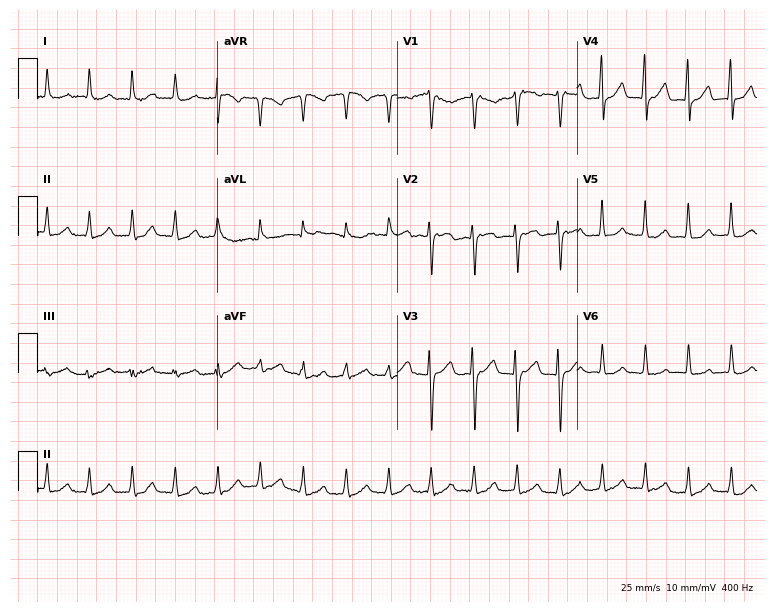
Resting 12-lead electrocardiogram (7.3-second recording at 400 Hz). Patient: a female, 57 years old. The tracing shows sinus tachycardia (a sinus rate of 100 beats per minute or more).